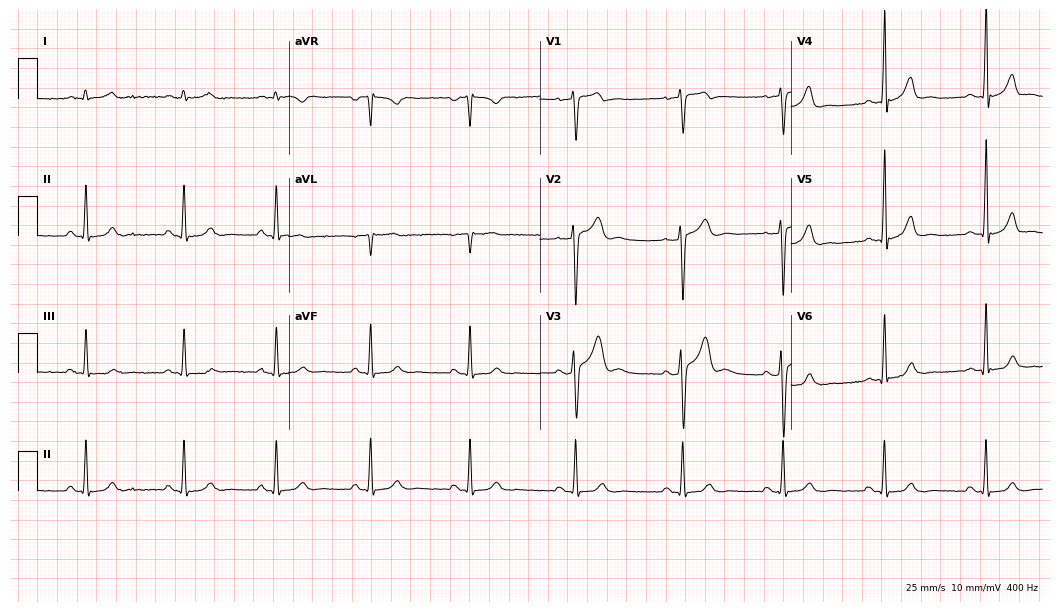
12-lead ECG (10.2-second recording at 400 Hz) from a 36-year-old male patient. Labelled as a normal ECG.